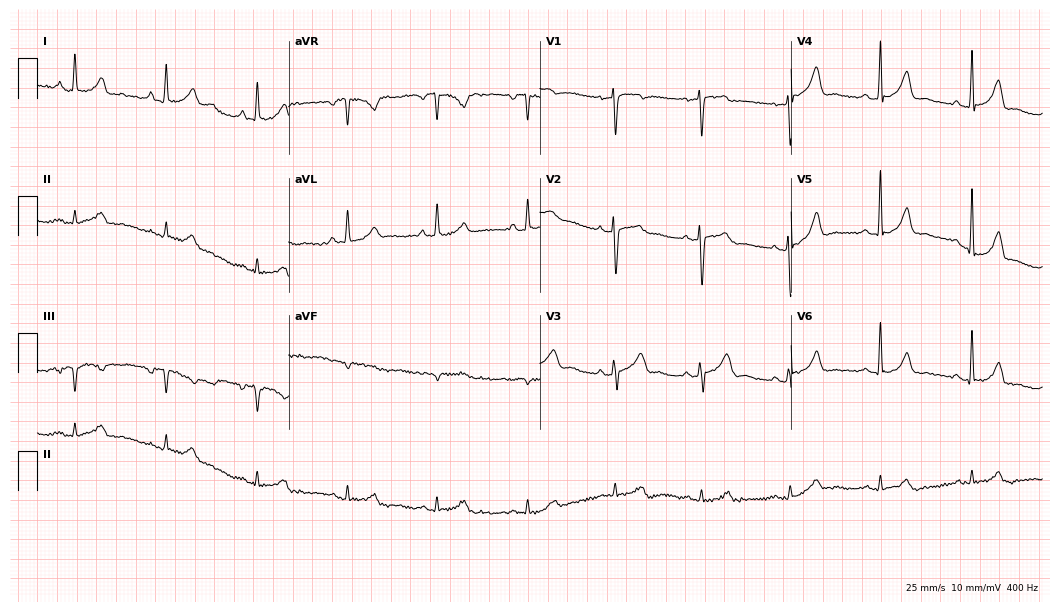
12-lead ECG from a 47-year-old female. Screened for six findings — first-degree AV block, right bundle branch block, left bundle branch block, sinus bradycardia, atrial fibrillation, sinus tachycardia — none is recorded. Only these six findings were labelled.